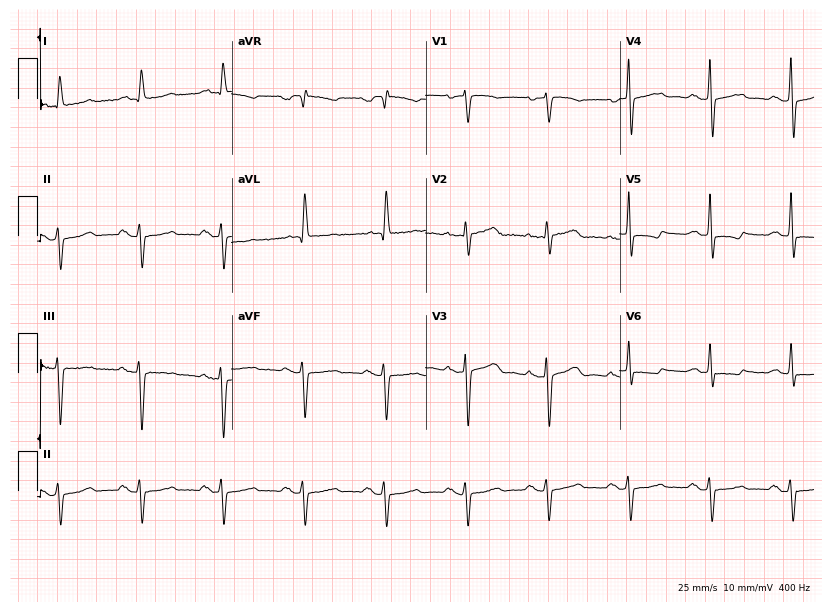
Resting 12-lead electrocardiogram (7.9-second recording at 400 Hz). Patient: a 64-year-old female. Read as a normal ECG.